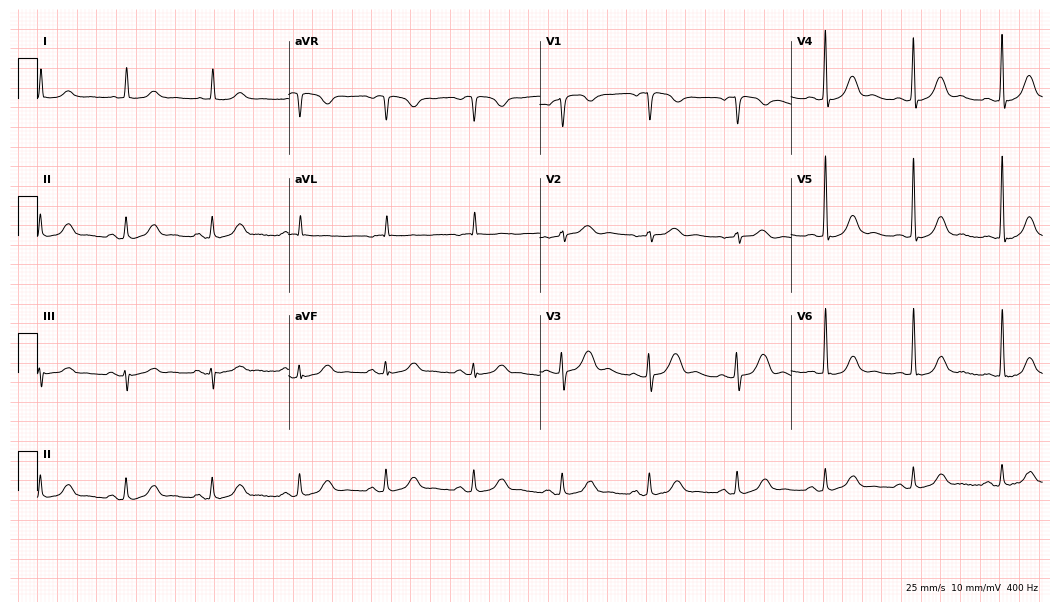
12-lead ECG from an 84-year-old female. Screened for six findings — first-degree AV block, right bundle branch block, left bundle branch block, sinus bradycardia, atrial fibrillation, sinus tachycardia — none is recorded. Findings outside these six are not listed.